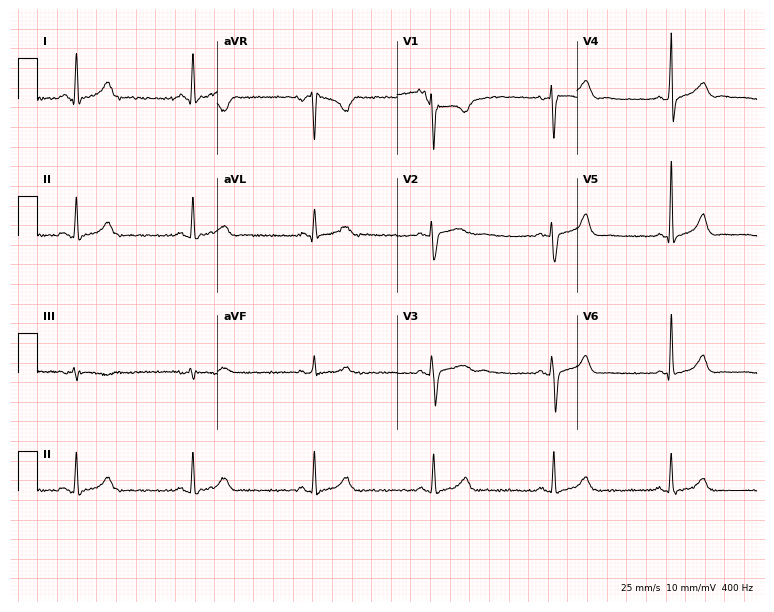
Electrocardiogram, a 36-year-old female patient. Of the six screened findings (first-degree AV block, right bundle branch block, left bundle branch block, sinus bradycardia, atrial fibrillation, sinus tachycardia), none is recorded.